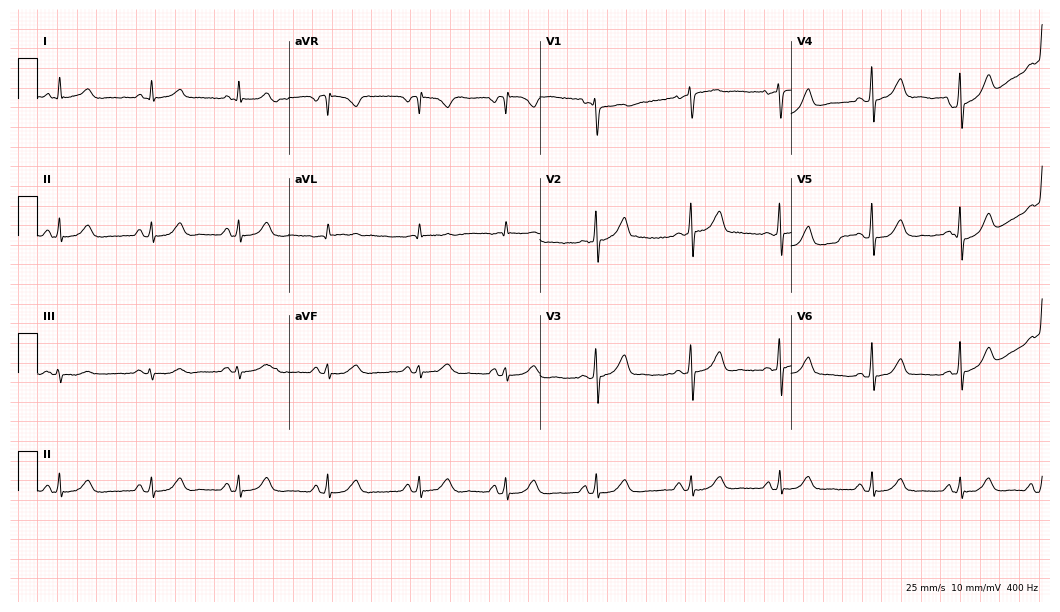
12-lead ECG (10.2-second recording at 400 Hz) from a 53-year-old woman. Labelled as a normal ECG.